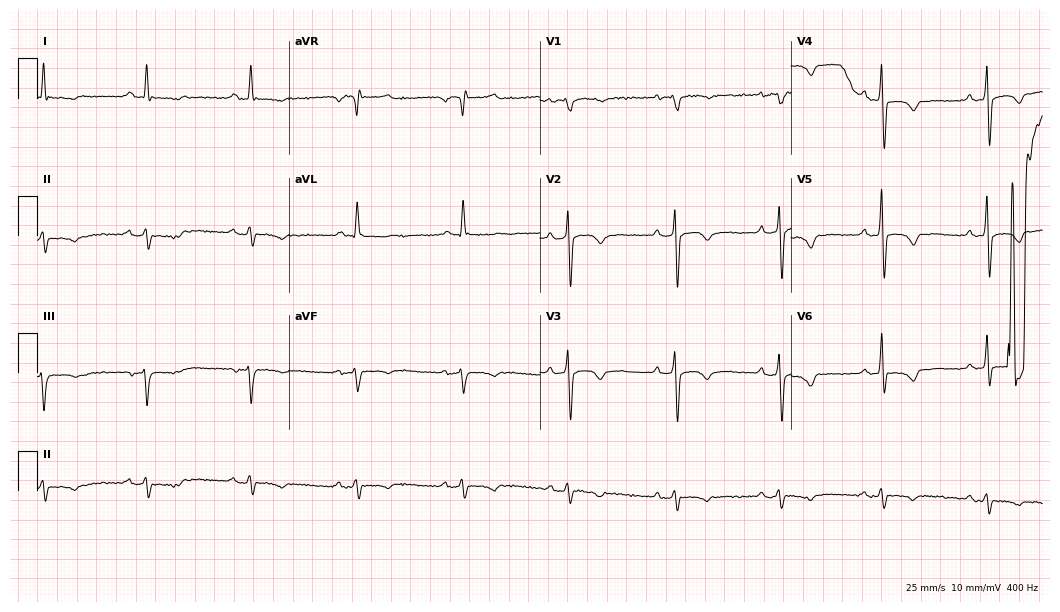
Electrocardiogram, a male, 76 years old. Of the six screened findings (first-degree AV block, right bundle branch block (RBBB), left bundle branch block (LBBB), sinus bradycardia, atrial fibrillation (AF), sinus tachycardia), none is recorded.